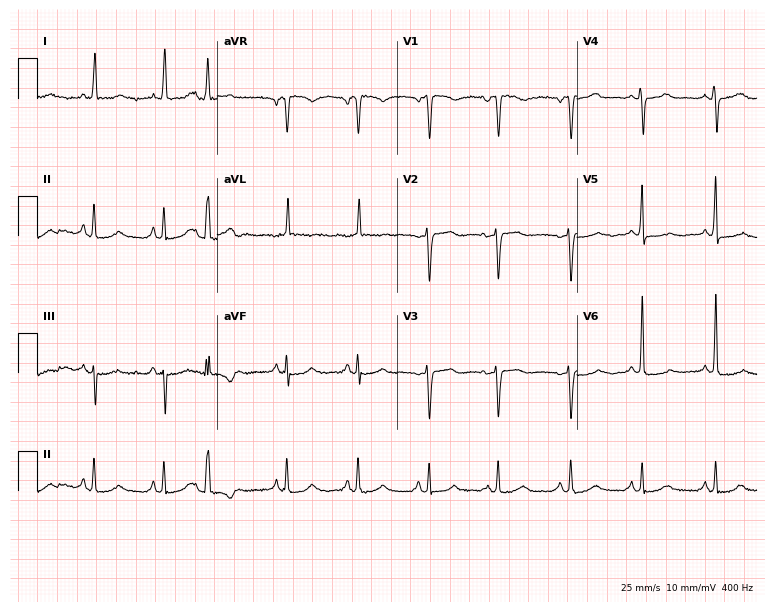
12-lead ECG from a 66-year-old female patient. Screened for six findings — first-degree AV block, right bundle branch block, left bundle branch block, sinus bradycardia, atrial fibrillation, sinus tachycardia — none is recorded. Other findings, if any, are not listed.